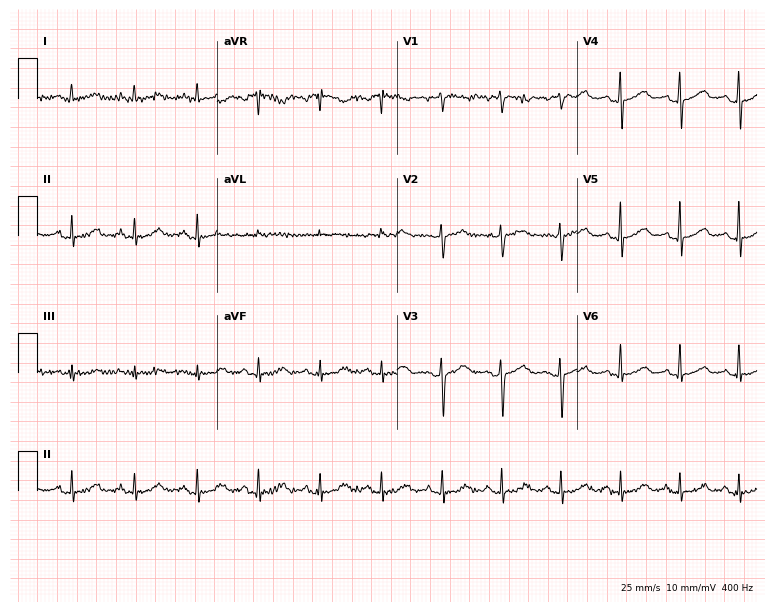
12-lead ECG (7.3-second recording at 400 Hz) from a 67-year-old female. Labelled as a normal ECG.